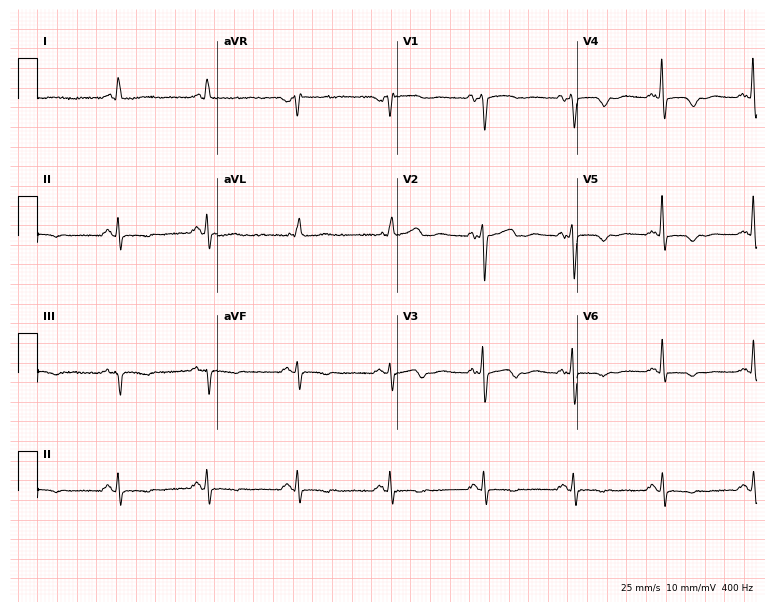
12-lead ECG from a 71-year-old woman. No first-degree AV block, right bundle branch block, left bundle branch block, sinus bradycardia, atrial fibrillation or sinus tachycardia recorded for this tracing.